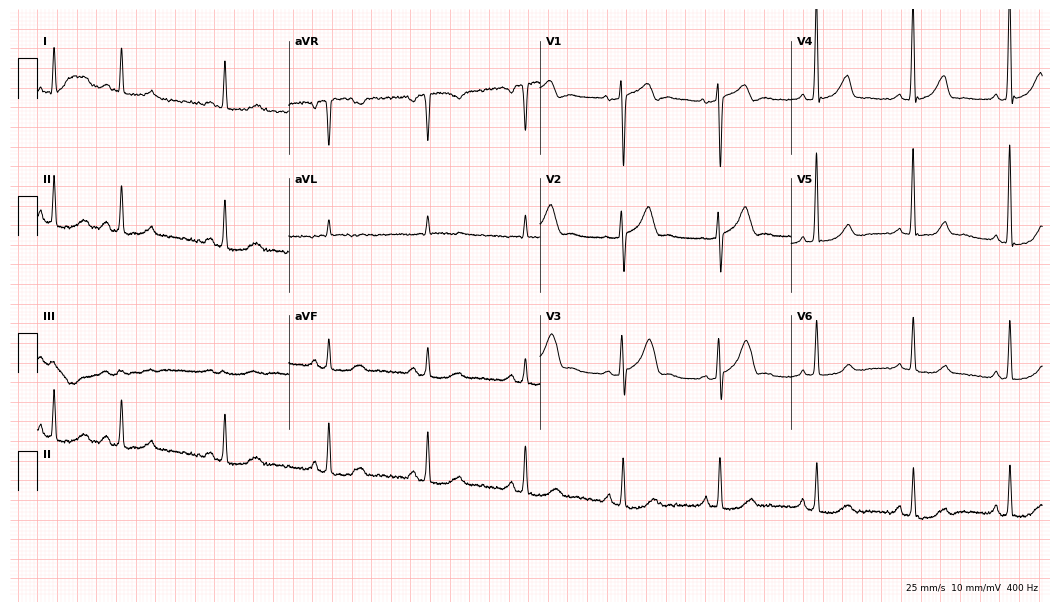
ECG — a 73-year-old male. Screened for six findings — first-degree AV block, right bundle branch block (RBBB), left bundle branch block (LBBB), sinus bradycardia, atrial fibrillation (AF), sinus tachycardia — none is recorded.